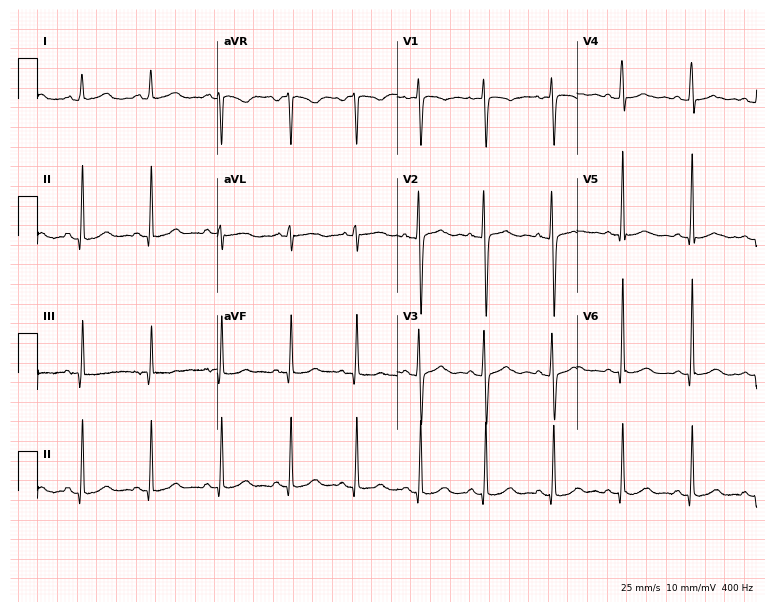
12-lead ECG (7.3-second recording at 400 Hz) from a 29-year-old female patient. Screened for six findings — first-degree AV block, right bundle branch block, left bundle branch block, sinus bradycardia, atrial fibrillation, sinus tachycardia — none is recorded. Findings outside these six are not listed.